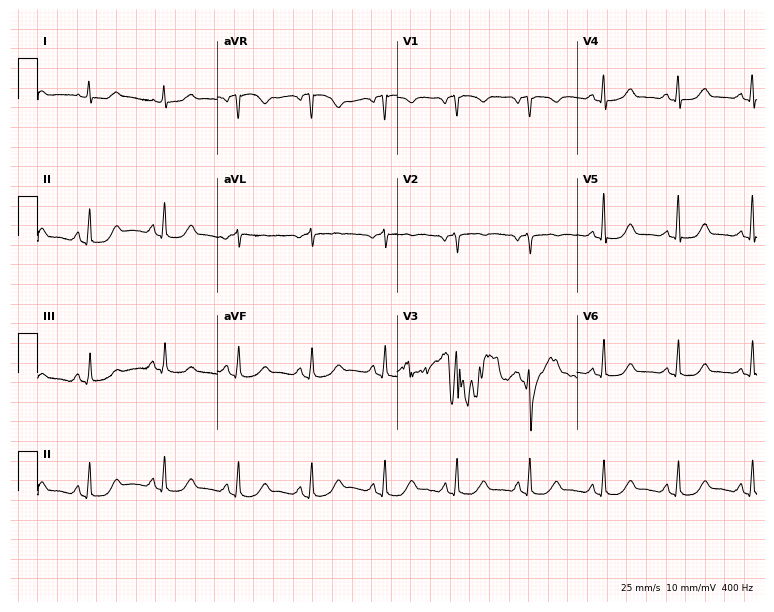
ECG (7.3-second recording at 400 Hz) — a female patient, 77 years old. Labelled as a normal ECG.